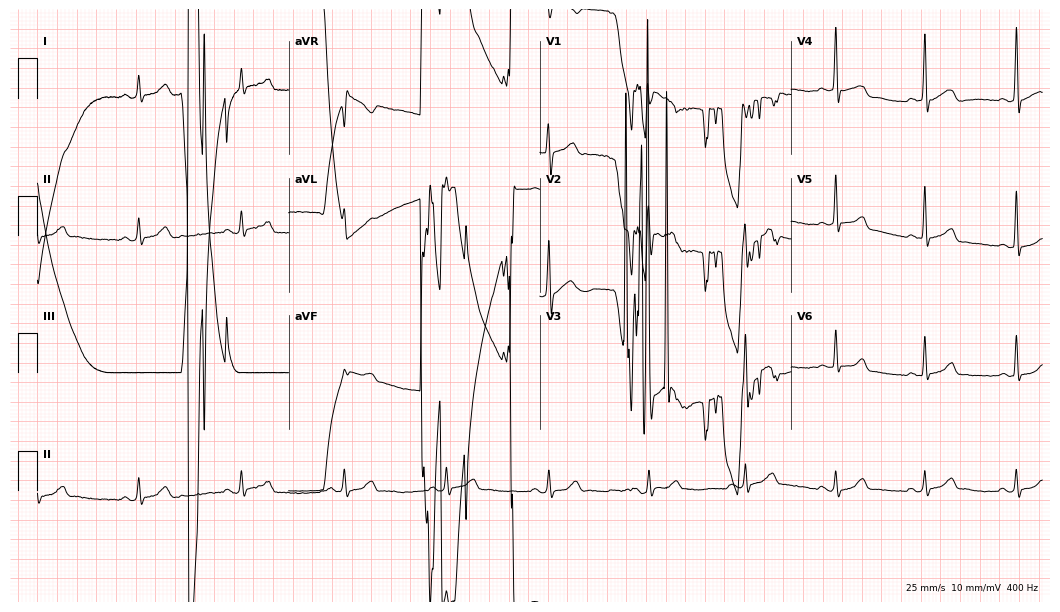
12-lead ECG from a male patient, 42 years old. No first-degree AV block, right bundle branch block, left bundle branch block, sinus bradycardia, atrial fibrillation or sinus tachycardia recorded for this tracing. Findings outside these six are not listed.